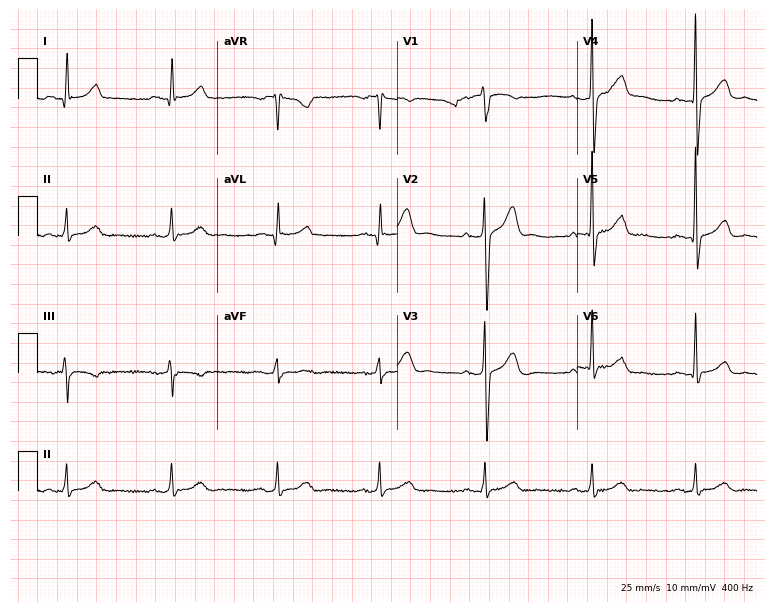
12-lead ECG from a male patient, 60 years old (7.3-second recording at 400 Hz). Recorded interpretation: within normal limits.